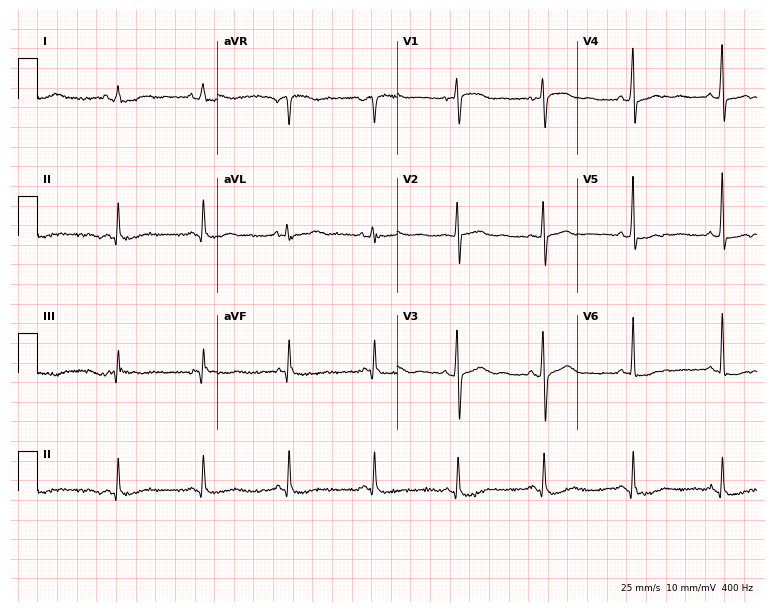
ECG (7.3-second recording at 400 Hz) — a female patient, 57 years old. Screened for six findings — first-degree AV block, right bundle branch block, left bundle branch block, sinus bradycardia, atrial fibrillation, sinus tachycardia — none is recorded. Other findings, if any, are not listed.